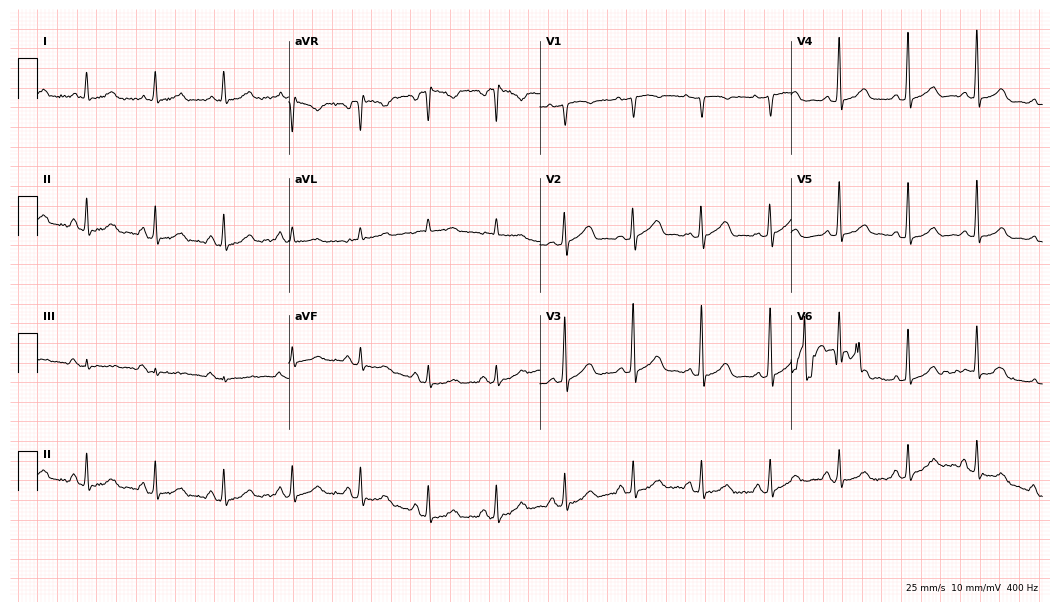
ECG (10.2-second recording at 400 Hz) — a female, 46 years old. Labelled as a normal ECG.